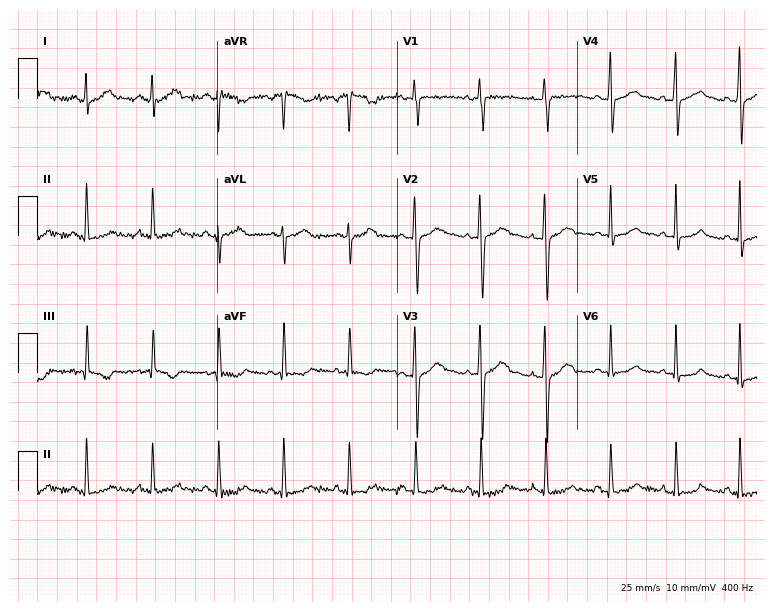
12-lead ECG (7.3-second recording at 400 Hz) from a 29-year-old woman. Screened for six findings — first-degree AV block, right bundle branch block, left bundle branch block, sinus bradycardia, atrial fibrillation, sinus tachycardia — none is recorded.